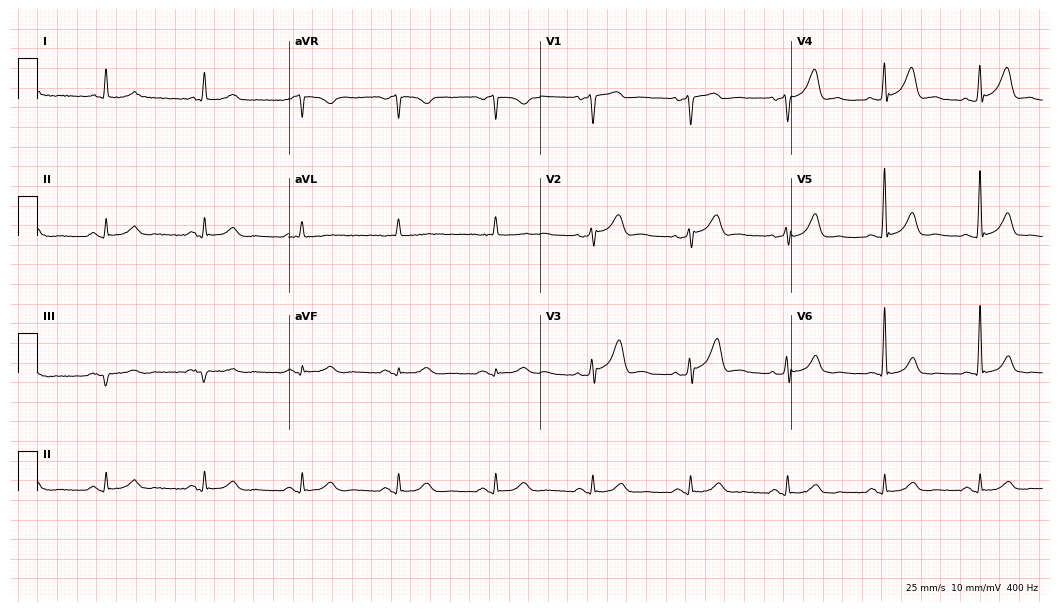
12-lead ECG from a male, 68 years old (10.2-second recording at 400 Hz). No first-degree AV block, right bundle branch block (RBBB), left bundle branch block (LBBB), sinus bradycardia, atrial fibrillation (AF) or sinus tachycardia recorded for this tracing.